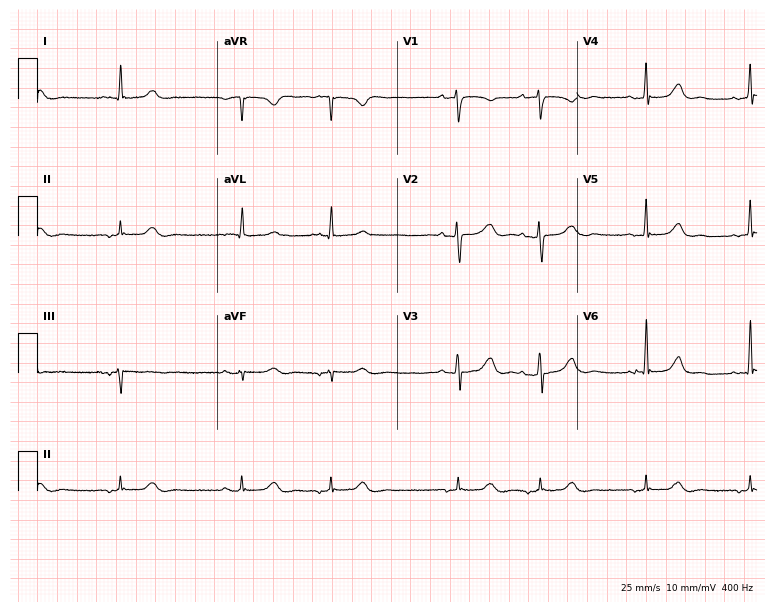
ECG (7.3-second recording at 400 Hz) — a female, 64 years old. Labelled as a normal ECG.